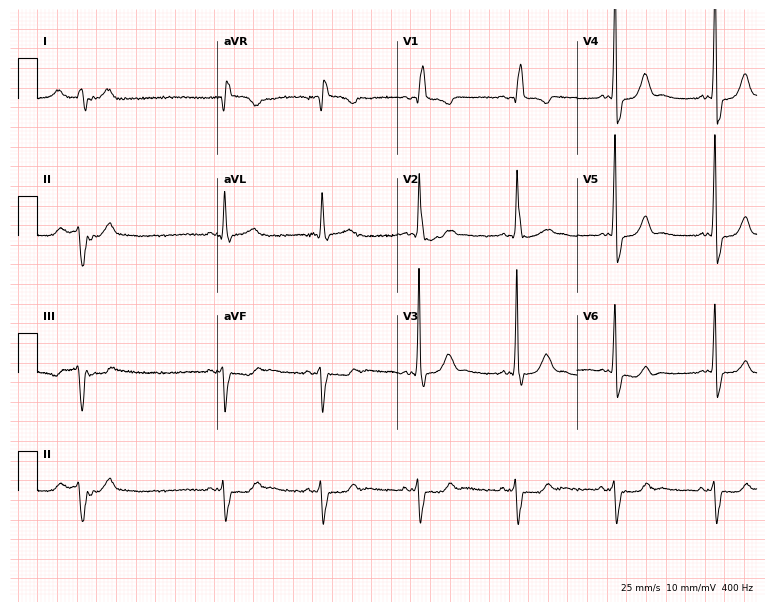
Electrocardiogram, a male, 74 years old. Interpretation includes right bundle branch block.